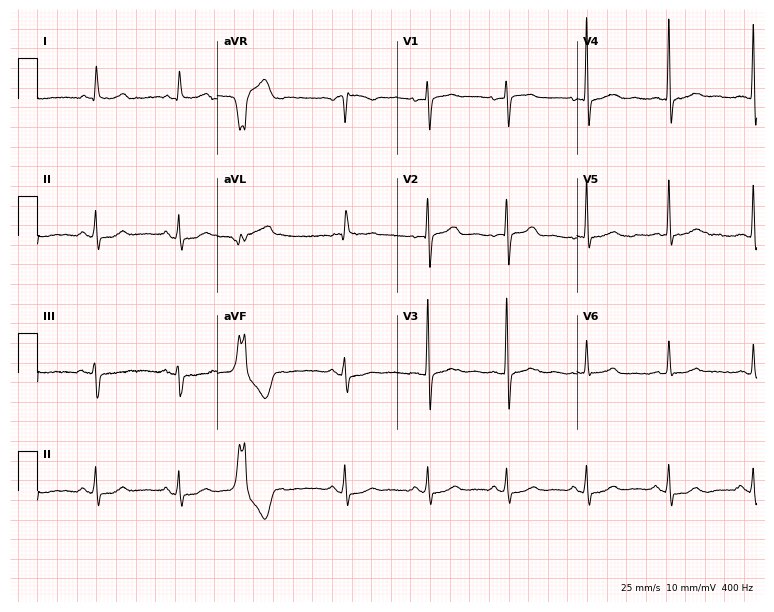
ECG (7.3-second recording at 400 Hz) — a female, 56 years old. Screened for six findings — first-degree AV block, right bundle branch block, left bundle branch block, sinus bradycardia, atrial fibrillation, sinus tachycardia — none is recorded.